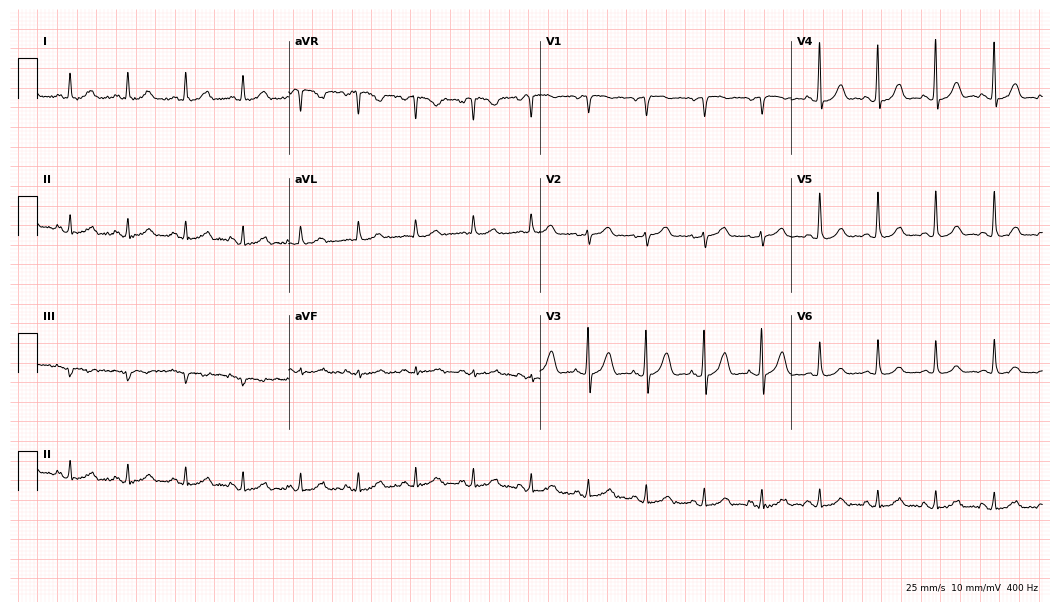
Resting 12-lead electrocardiogram. Patient: a 76-year-old female. None of these six findings is recorded: first-degree AV block, right bundle branch block, left bundle branch block, sinus bradycardia, atrial fibrillation, sinus tachycardia. Only these six findings were labelled.